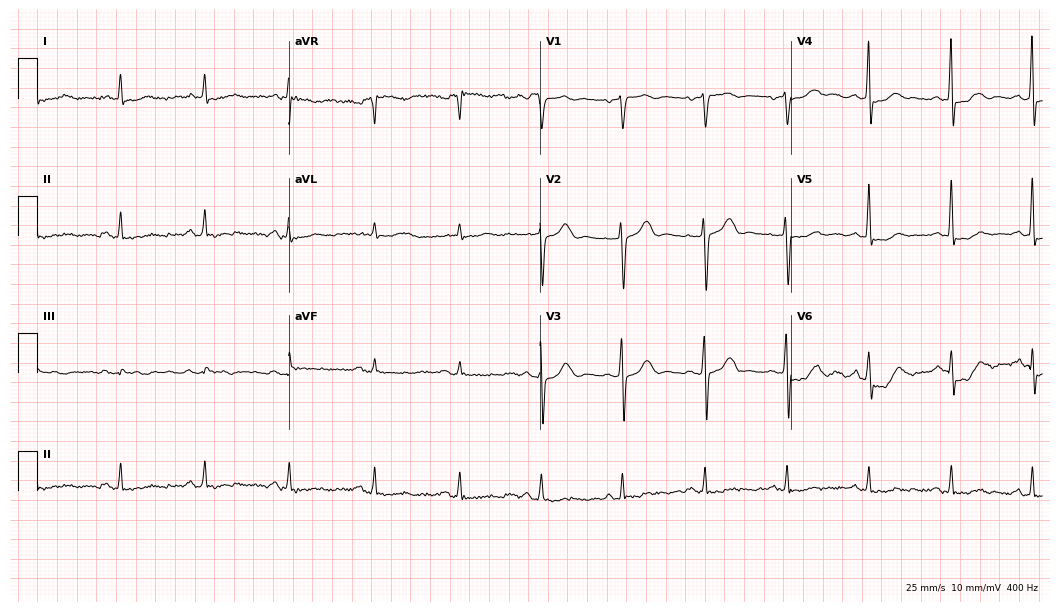
Resting 12-lead electrocardiogram (10.2-second recording at 400 Hz). Patient: a male, 71 years old. None of these six findings is recorded: first-degree AV block, right bundle branch block, left bundle branch block, sinus bradycardia, atrial fibrillation, sinus tachycardia.